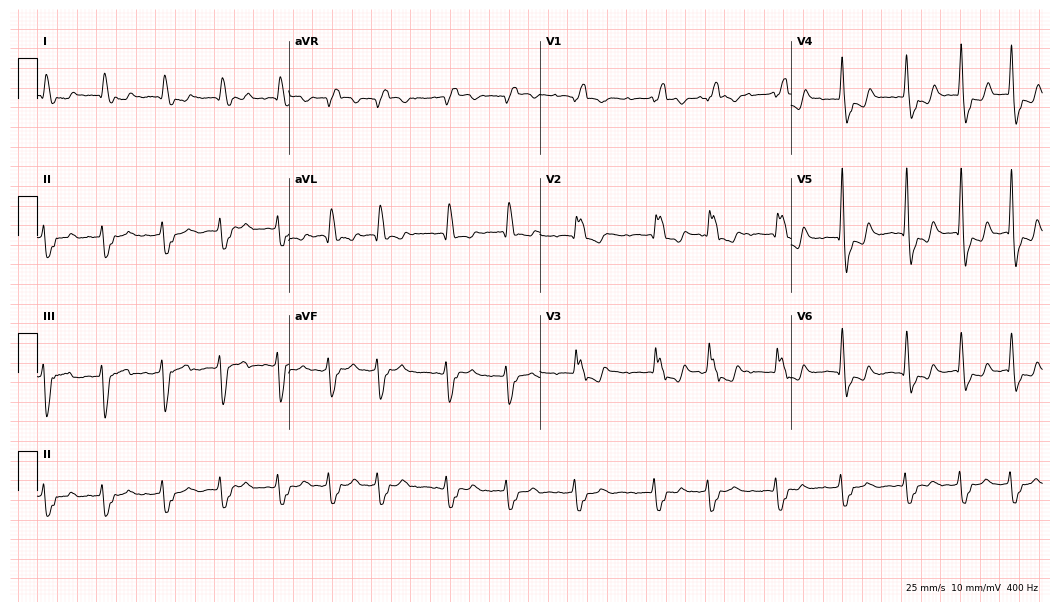
Standard 12-lead ECG recorded from a female patient, 85 years old (10.2-second recording at 400 Hz). The tracing shows right bundle branch block (RBBB), atrial fibrillation (AF).